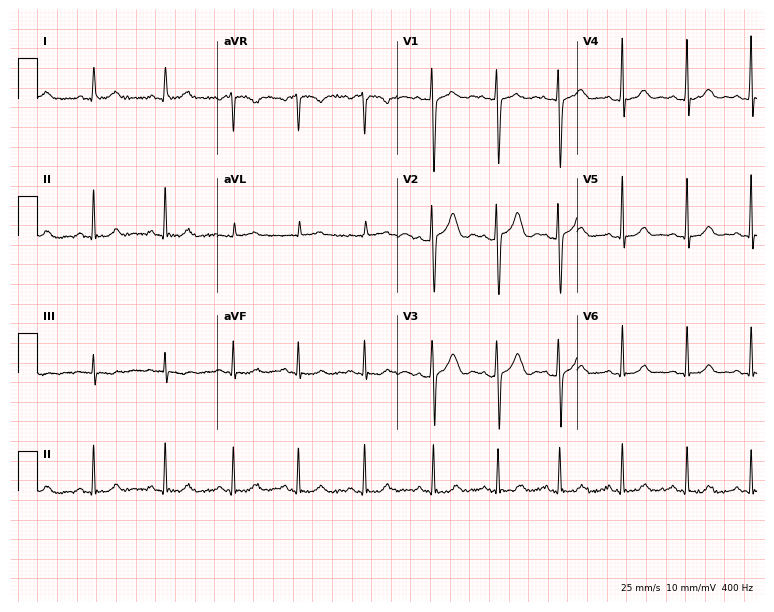
Standard 12-lead ECG recorded from a woman, 24 years old (7.3-second recording at 400 Hz). None of these six findings is recorded: first-degree AV block, right bundle branch block (RBBB), left bundle branch block (LBBB), sinus bradycardia, atrial fibrillation (AF), sinus tachycardia.